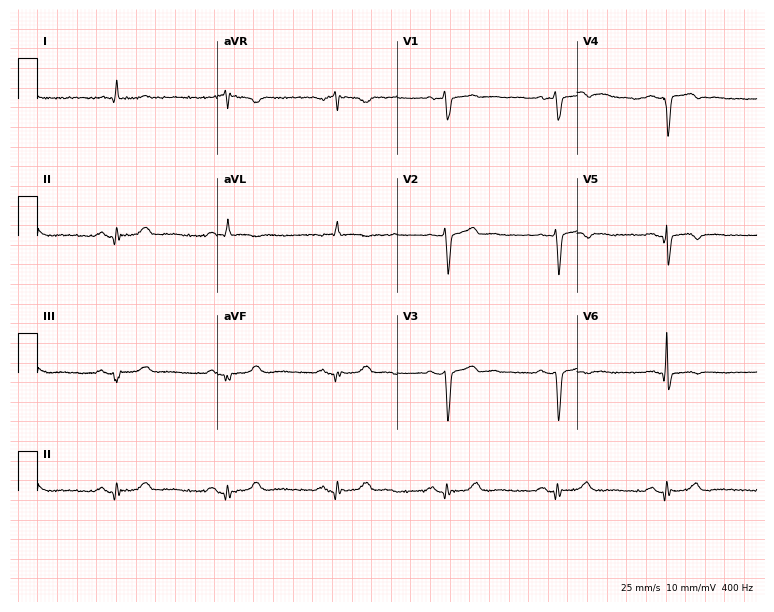
Resting 12-lead electrocardiogram. Patient: an 81-year-old man. None of these six findings is recorded: first-degree AV block, right bundle branch block, left bundle branch block, sinus bradycardia, atrial fibrillation, sinus tachycardia. Other findings, if any, are not listed.